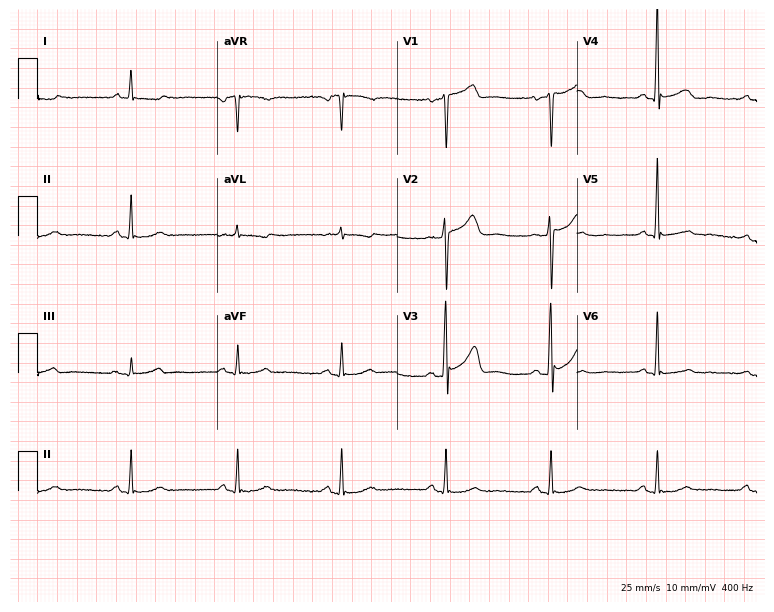
Standard 12-lead ECG recorded from a male patient, 65 years old (7.3-second recording at 400 Hz). None of these six findings is recorded: first-degree AV block, right bundle branch block (RBBB), left bundle branch block (LBBB), sinus bradycardia, atrial fibrillation (AF), sinus tachycardia.